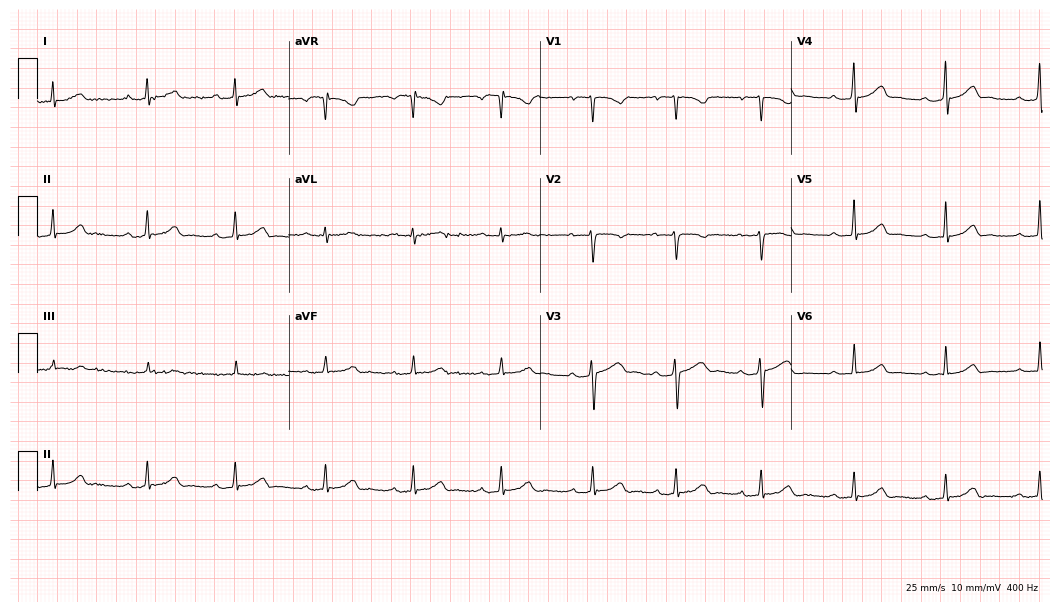
12-lead ECG from a female patient, 23 years old. Screened for six findings — first-degree AV block, right bundle branch block, left bundle branch block, sinus bradycardia, atrial fibrillation, sinus tachycardia — none is recorded. Findings outside these six are not listed.